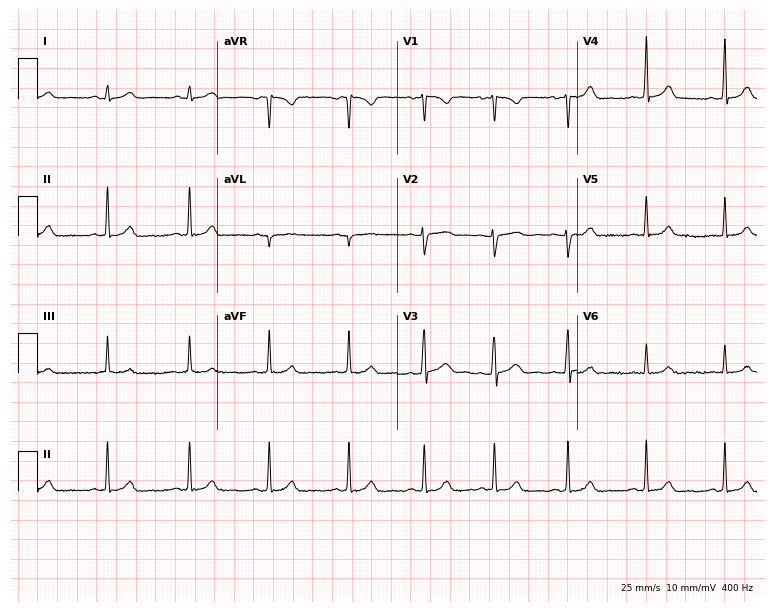
Electrocardiogram (7.3-second recording at 400 Hz), a female patient, 19 years old. Overall reading on record: normal ECG.